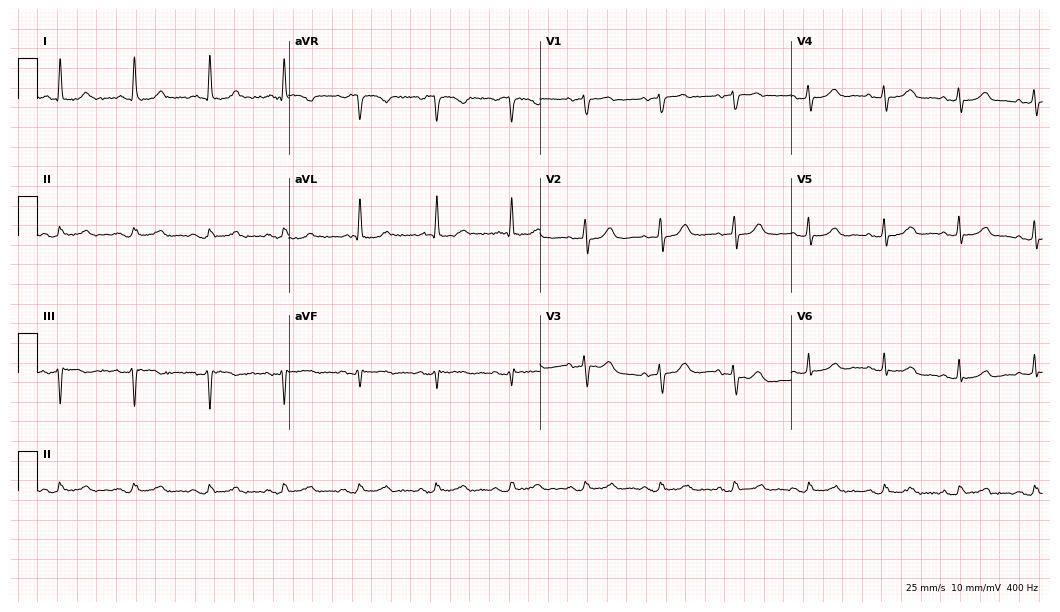
12-lead ECG from a female patient, 74 years old (10.2-second recording at 400 Hz). Recorded interpretation: within normal limits.